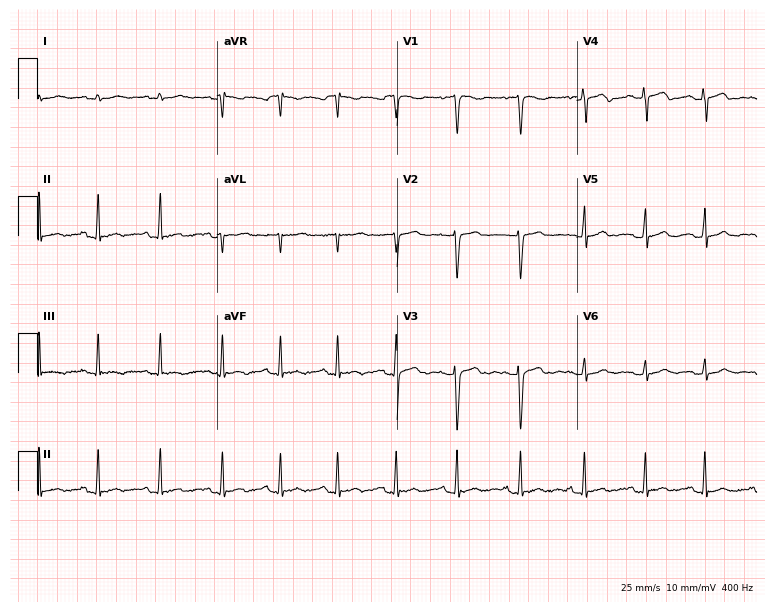
12-lead ECG from a 19-year-old woman. Screened for six findings — first-degree AV block, right bundle branch block, left bundle branch block, sinus bradycardia, atrial fibrillation, sinus tachycardia — none is recorded. Only these six findings were labelled.